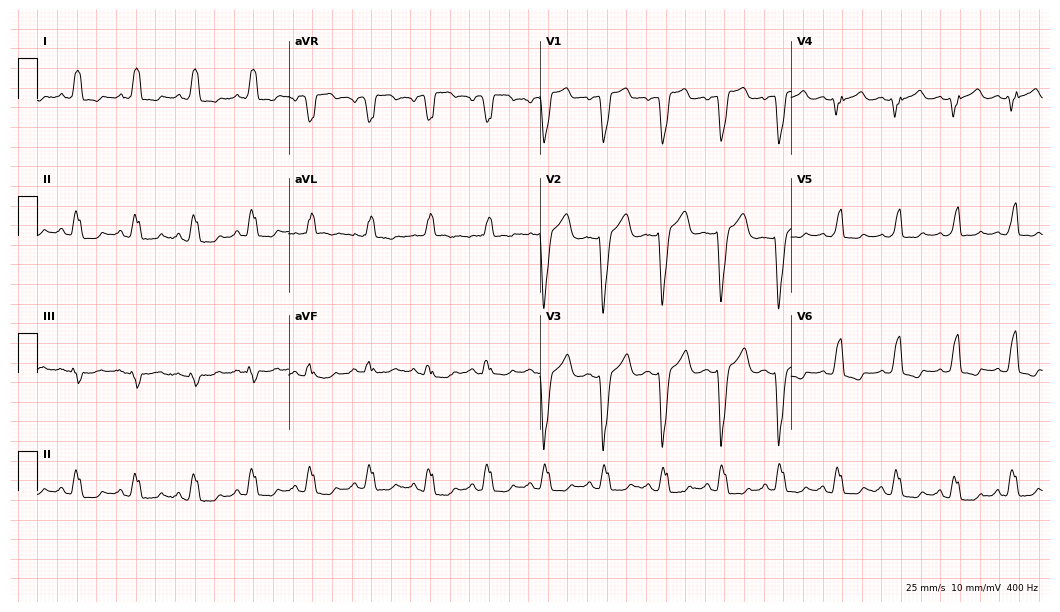
Standard 12-lead ECG recorded from a 47-year-old female (10.2-second recording at 400 Hz). The tracing shows left bundle branch block, sinus tachycardia (a sinus rate of 100 beats per minute or more).